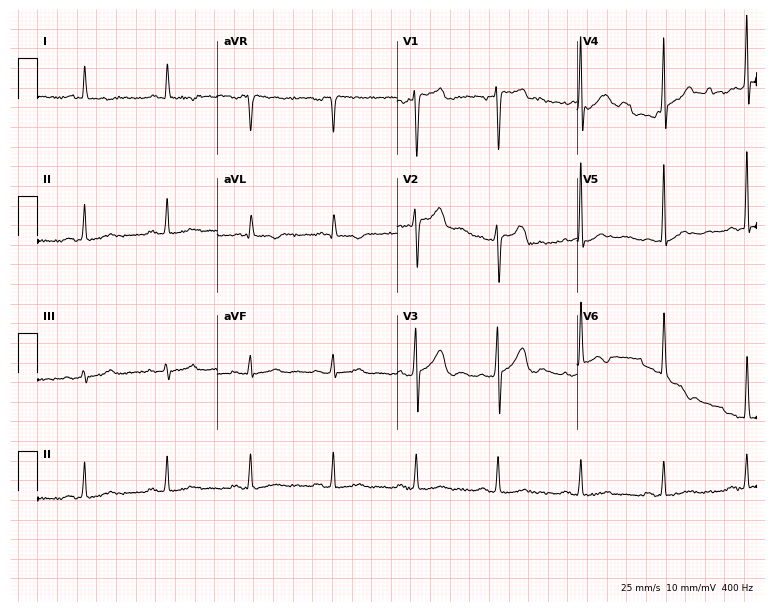
12-lead ECG (7.3-second recording at 400 Hz) from a 72-year-old man. Screened for six findings — first-degree AV block, right bundle branch block (RBBB), left bundle branch block (LBBB), sinus bradycardia, atrial fibrillation (AF), sinus tachycardia — none is recorded.